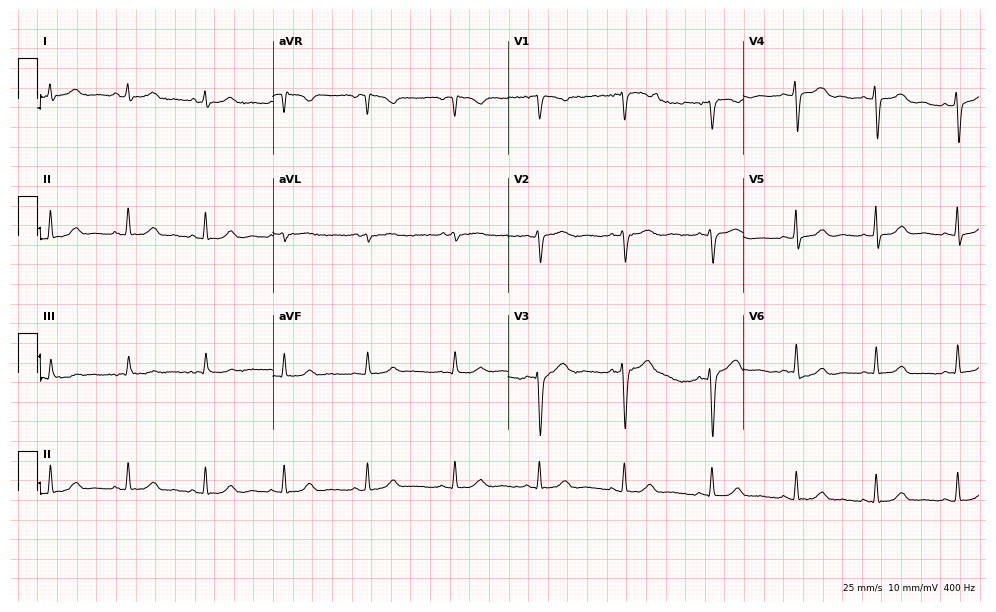
ECG (9.6-second recording at 400 Hz) — a male patient, 39 years old. Labelled as a normal ECG.